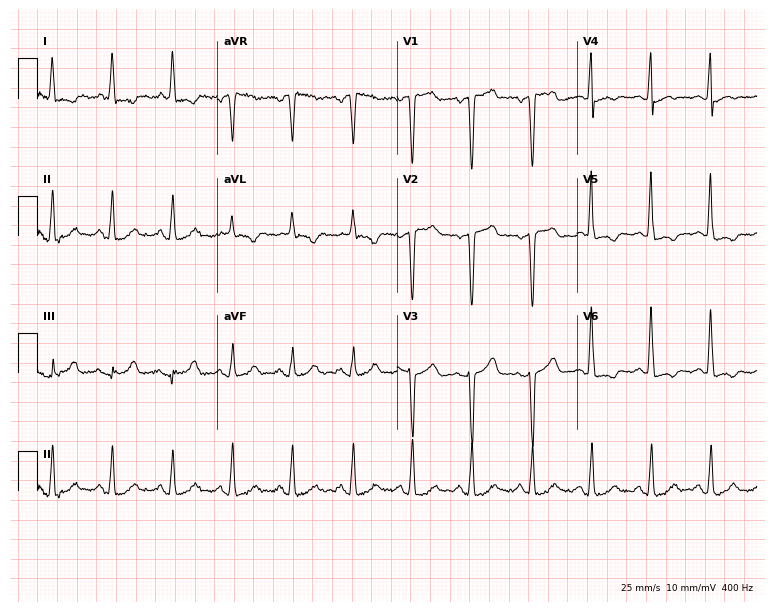
12-lead ECG (7.3-second recording at 400 Hz) from a female patient, 58 years old. Screened for six findings — first-degree AV block, right bundle branch block (RBBB), left bundle branch block (LBBB), sinus bradycardia, atrial fibrillation (AF), sinus tachycardia — none is recorded.